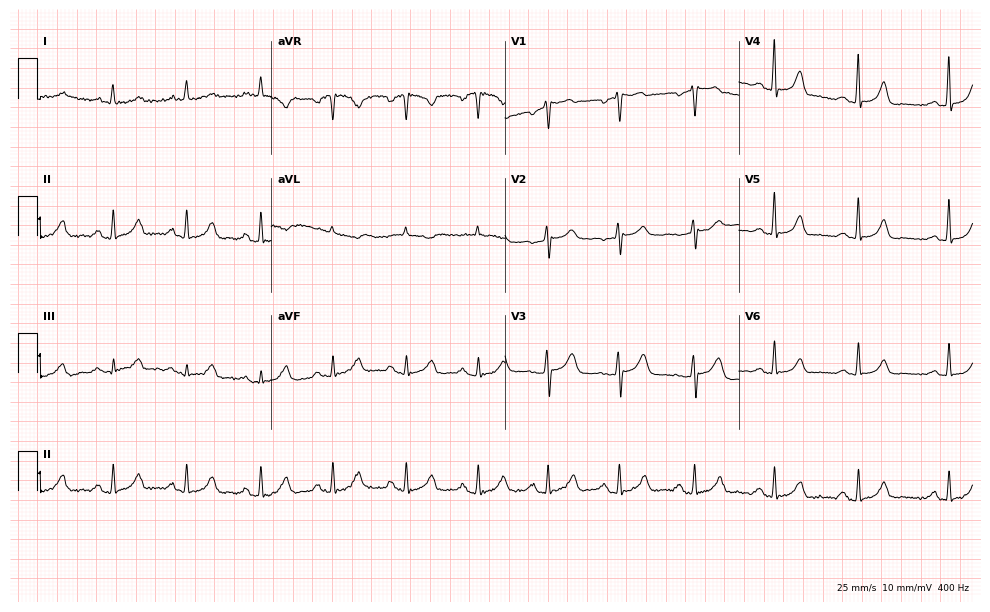
Standard 12-lead ECG recorded from a 62-year-old woman (9.5-second recording at 400 Hz). Read as a normal ECG.